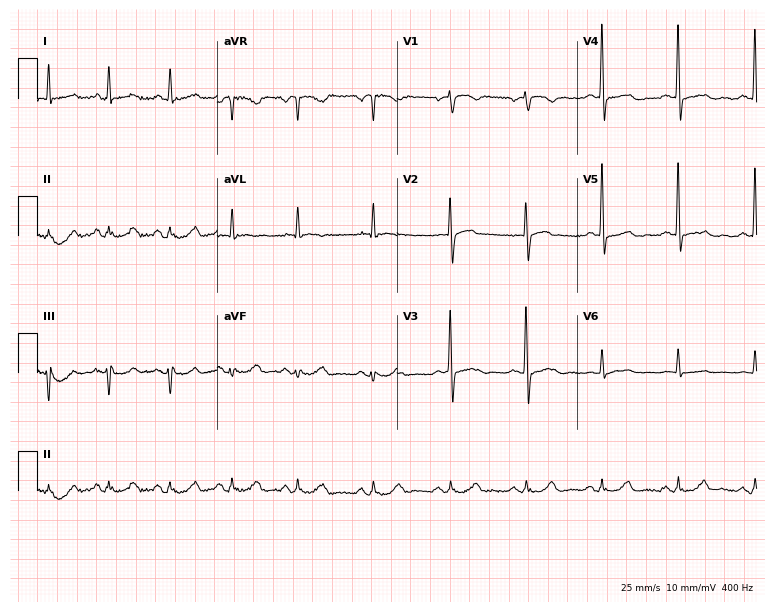
Resting 12-lead electrocardiogram (7.3-second recording at 400 Hz). Patient: a 60-year-old male. None of these six findings is recorded: first-degree AV block, right bundle branch block, left bundle branch block, sinus bradycardia, atrial fibrillation, sinus tachycardia. Other findings, if any, are not listed.